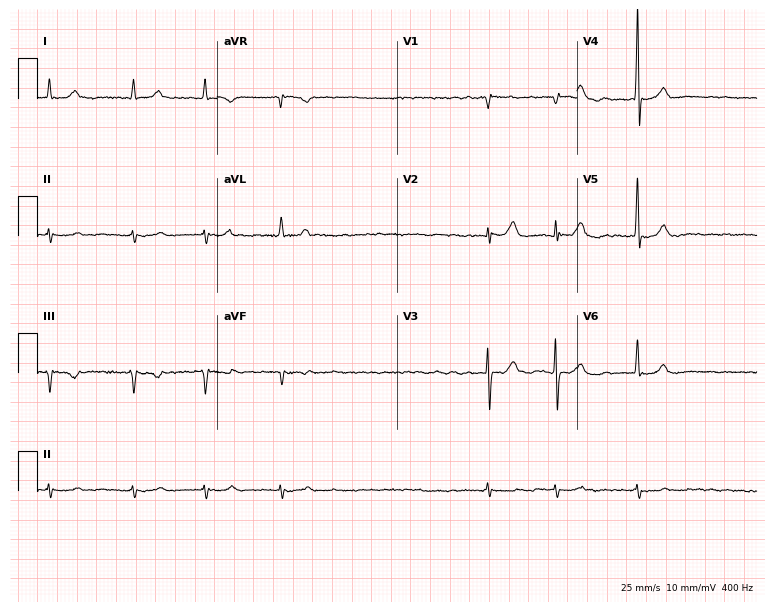
Electrocardiogram, a man, 69 years old. Interpretation includes atrial fibrillation.